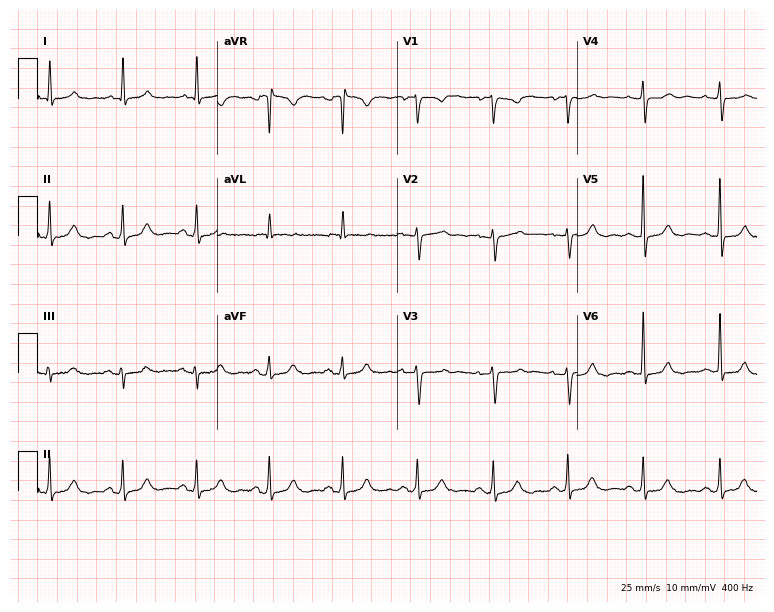
Resting 12-lead electrocardiogram (7.3-second recording at 400 Hz). Patient: a 69-year-old female. None of these six findings is recorded: first-degree AV block, right bundle branch block, left bundle branch block, sinus bradycardia, atrial fibrillation, sinus tachycardia. Only these six findings were labelled.